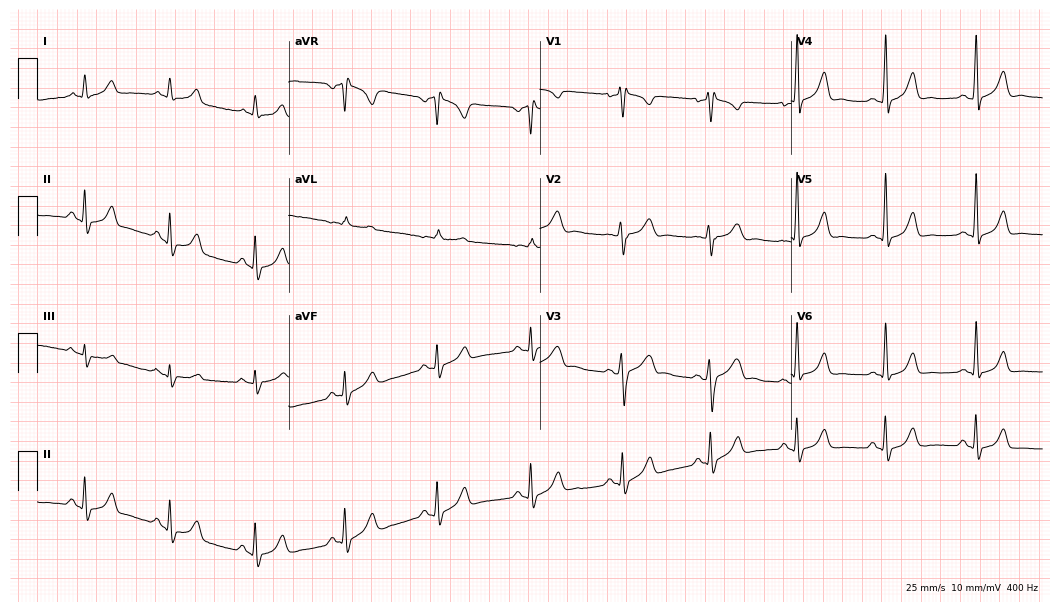
ECG — a 23-year-old woman. Screened for six findings — first-degree AV block, right bundle branch block (RBBB), left bundle branch block (LBBB), sinus bradycardia, atrial fibrillation (AF), sinus tachycardia — none is recorded.